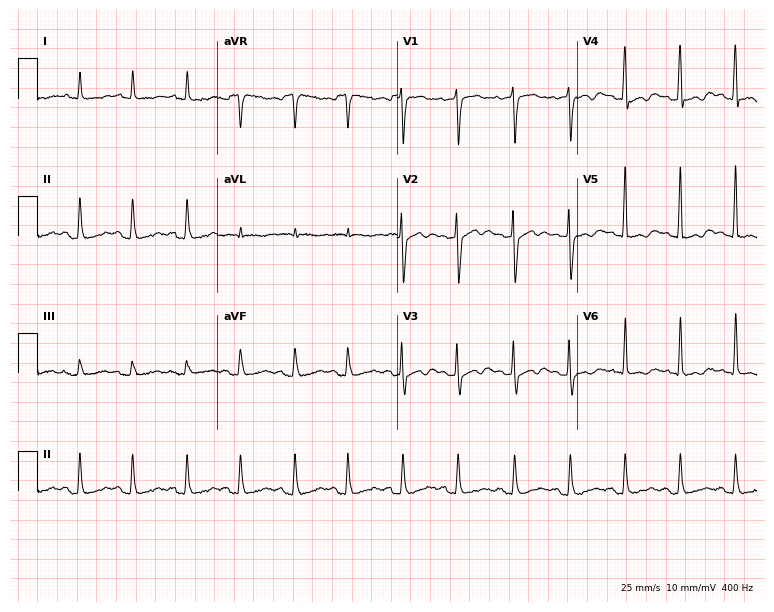
Electrocardiogram (7.3-second recording at 400 Hz), a male, 46 years old. Interpretation includes sinus tachycardia (a sinus rate of 100 beats per minute or more).